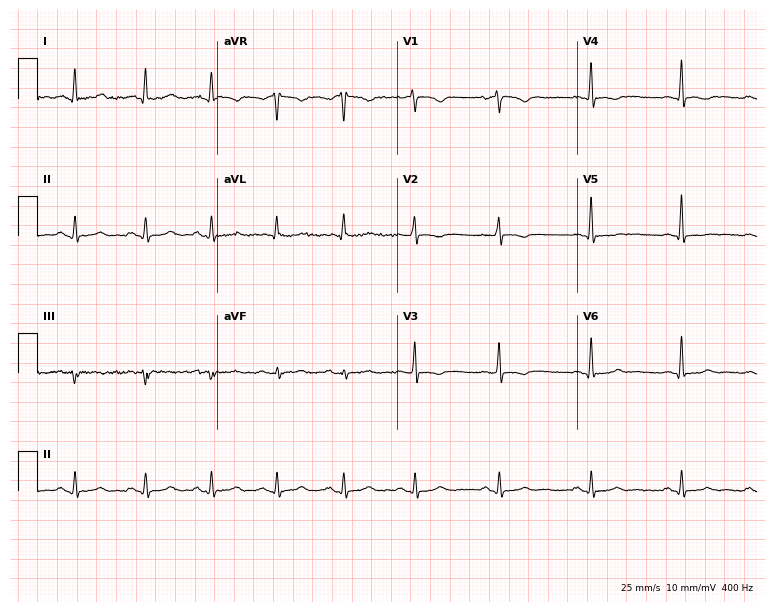
12-lead ECG from a 46-year-old female. No first-degree AV block, right bundle branch block, left bundle branch block, sinus bradycardia, atrial fibrillation or sinus tachycardia recorded for this tracing.